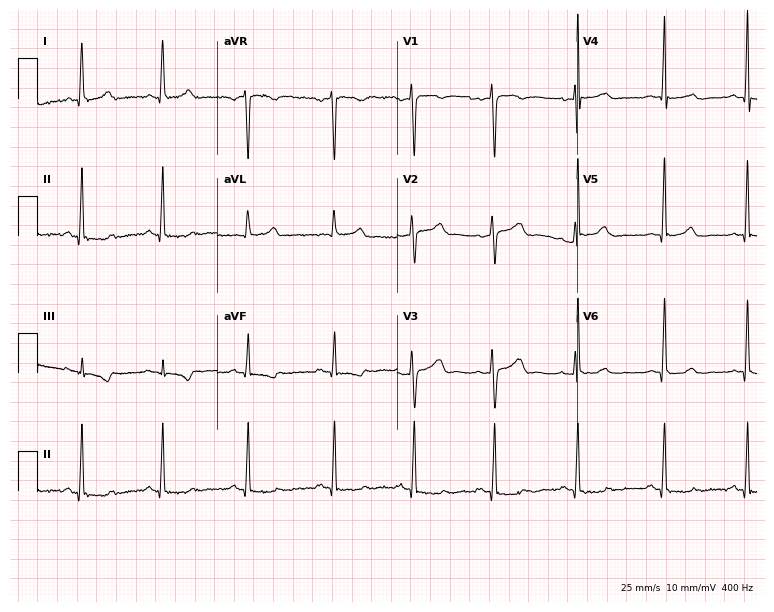
Electrocardiogram (7.3-second recording at 400 Hz), a female patient, 43 years old. Of the six screened findings (first-degree AV block, right bundle branch block, left bundle branch block, sinus bradycardia, atrial fibrillation, sinus tachycardia), none is recorded.